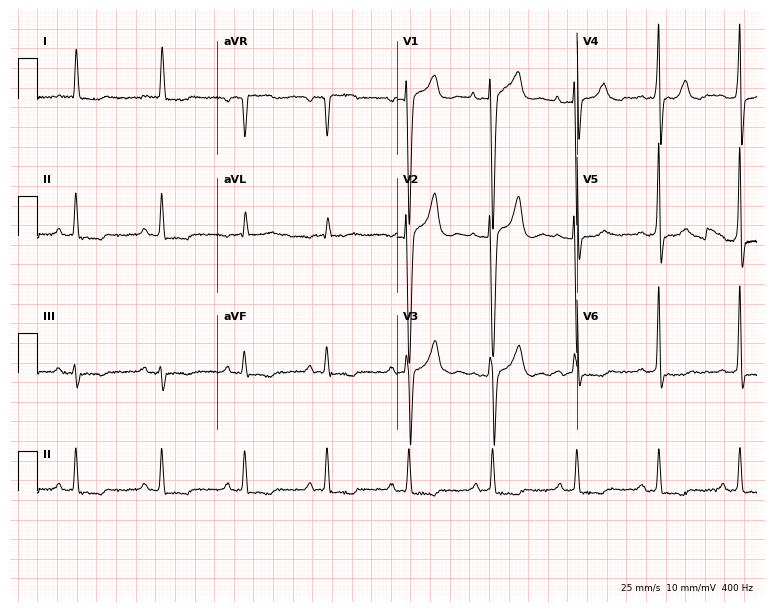
Standard 12-lead ECG recorded from a 77-year-old male patient (7.3-second recording at 400 Hz). None of these six findings is recorded: first-degree AV block, right bundle branch block (RBBB), left bundle branch block (LBBB), sinus bradycardia, atrial fibrillation (AF), sinus tachycardia.